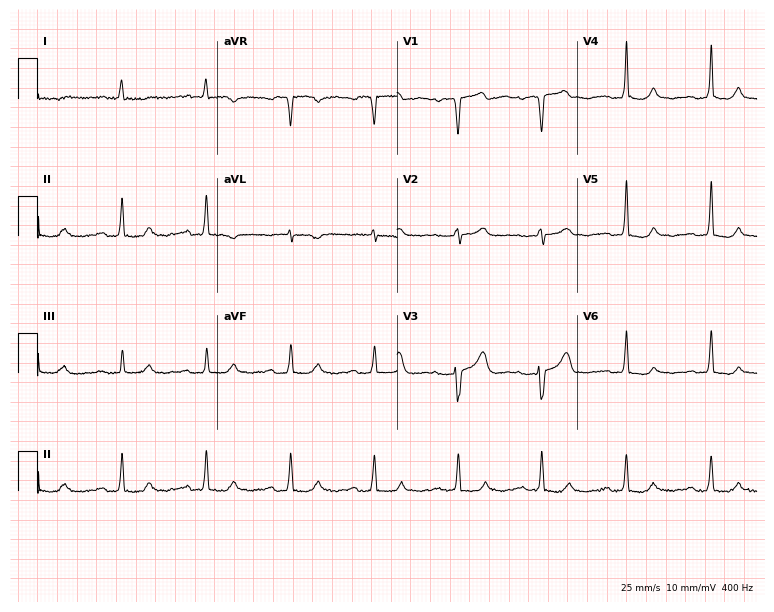
12-lead ECG from a 78-year-old male. Screened for six findings — first-degree AV block, right bundle branch block, left bundle branch block, sinus bradycardia, atrial fibrillation, sinus tachycardia — none is recorded. Other findings, if any, are not listed.